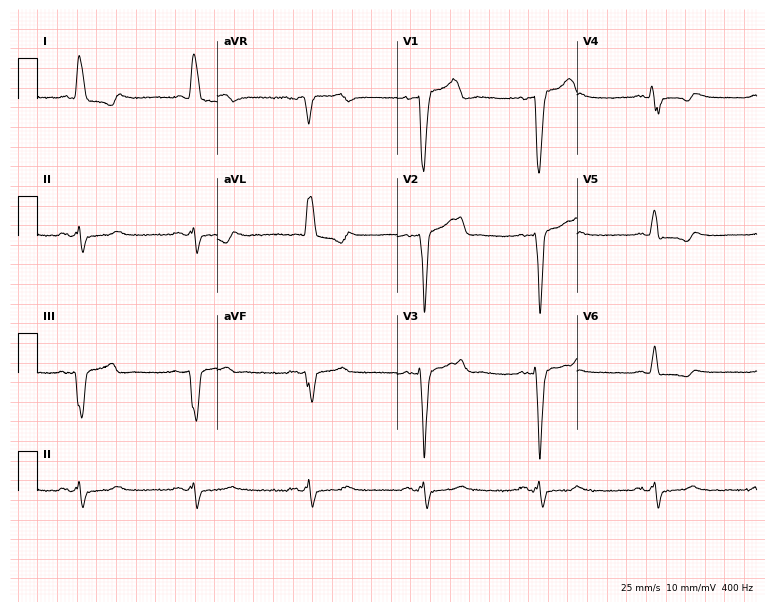
12-lead ECG from a male, 84 years old (7.3-second recording at 400 Hz). No first-degree AV block, right bundle branch block, left bundle branch block, sinus bradycardia, atrial fibrillation or sinus tachycardia recorded for this tracing.